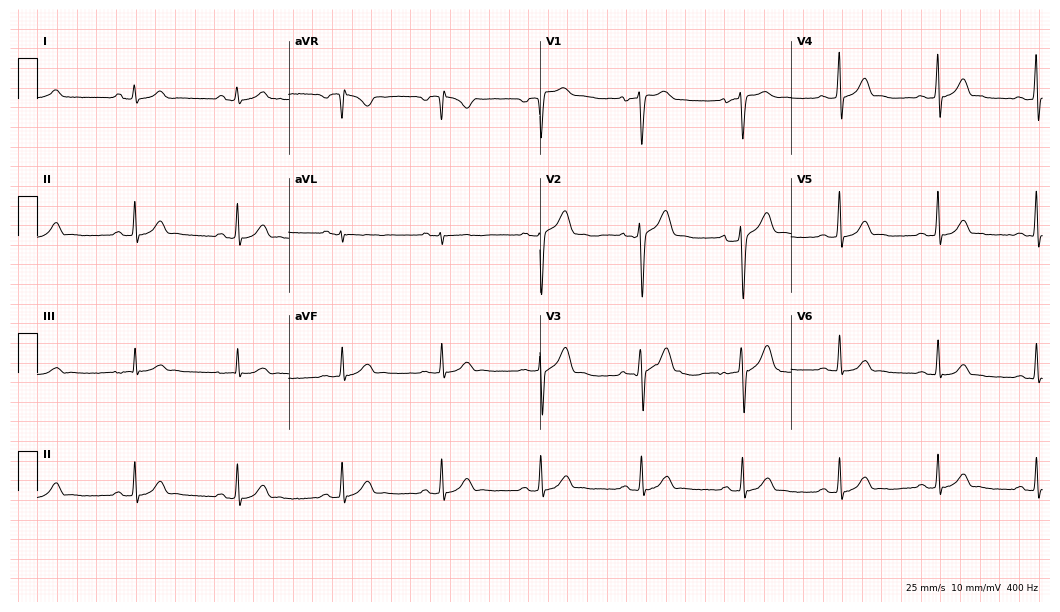
12-lead ECG from a 35-year-old male patient. Labelled as a normal ECG.